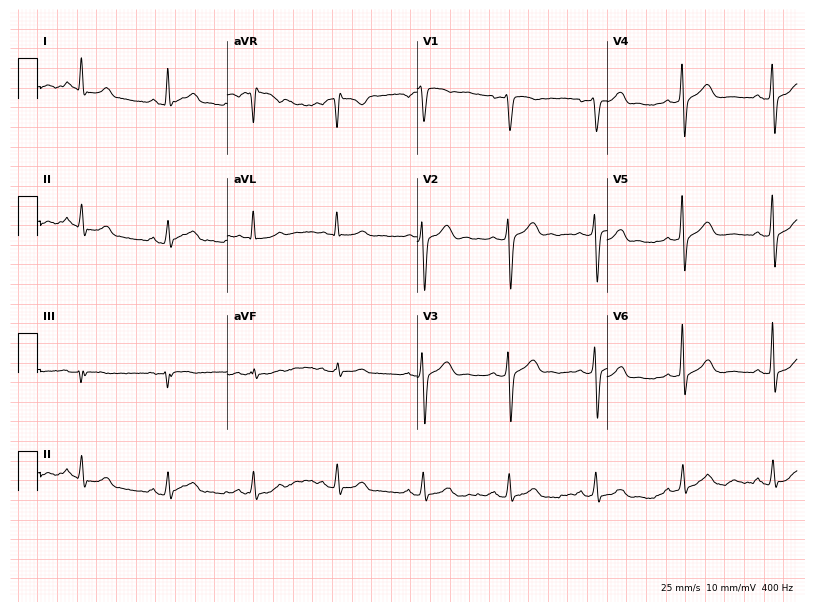
Resting 12-lead electrocardiogram (7.7-second recording at 400 Hz). Patient: a 37-year-old male. Read as a normal ECG.